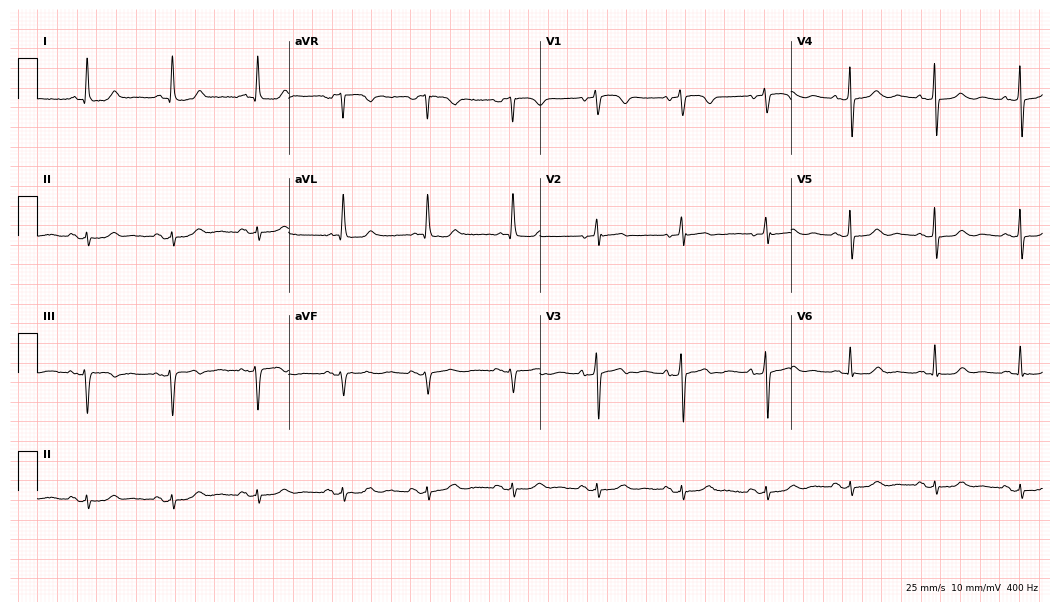
12-lead ECG from a 73-year-old female. No first-degree AV block, right bundle branch block, left bundle branch block, sinus bradycardia, atrial fibrillation or sinus tachycardia recorded for this tracing. Other findings, if any, are not listed.